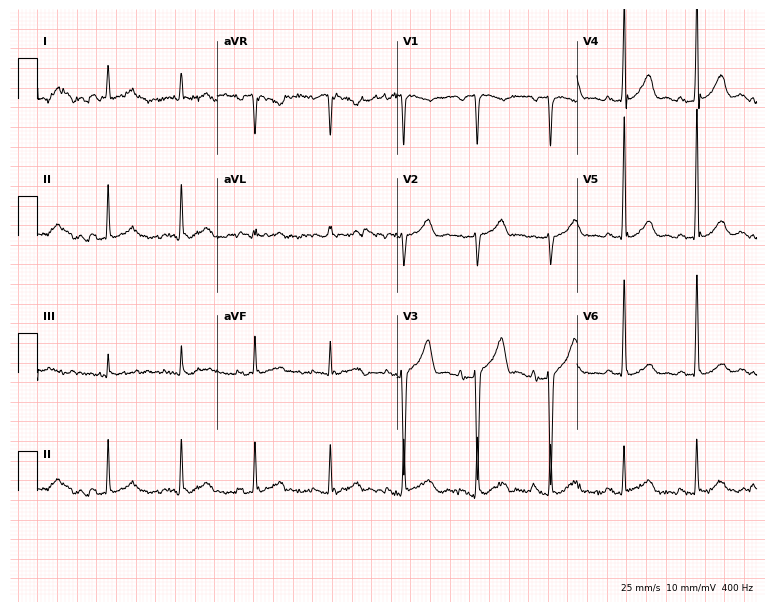
12-lead ECG from a 55-year-old male (7.3-second recording at 400 Hz). No first-degree AV block, right bundle branch block, left bundle branch block, sinus bradycardia, atrial fibrillation or sinus tachycardia recorded for this tracing. Findings outside these six are not listed.